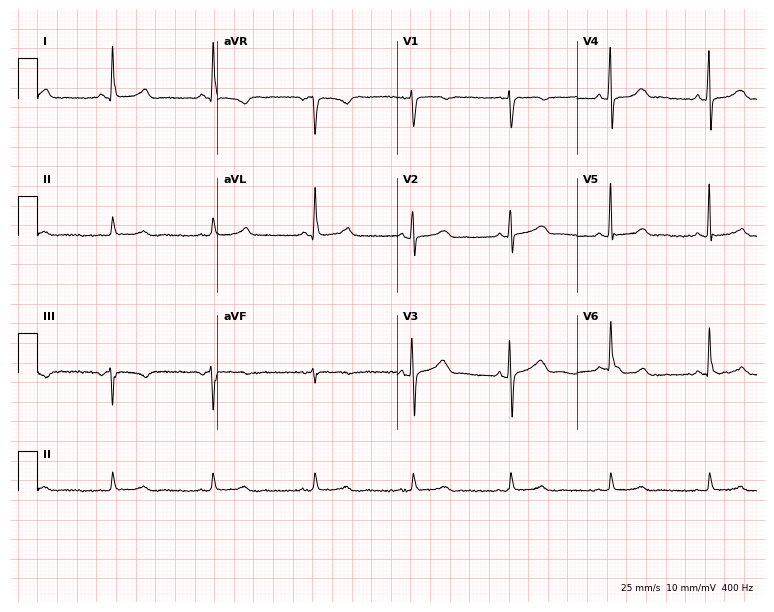
12-lead ECG (7.3-second recording at 400 Hz) from a 61-year-old man. Screened for six findings — first-degree AV block, right bundle branch block, left bundle branch block, sinus bradycardia, atrial fibrillation, sinus tachycardia — none is recorded.